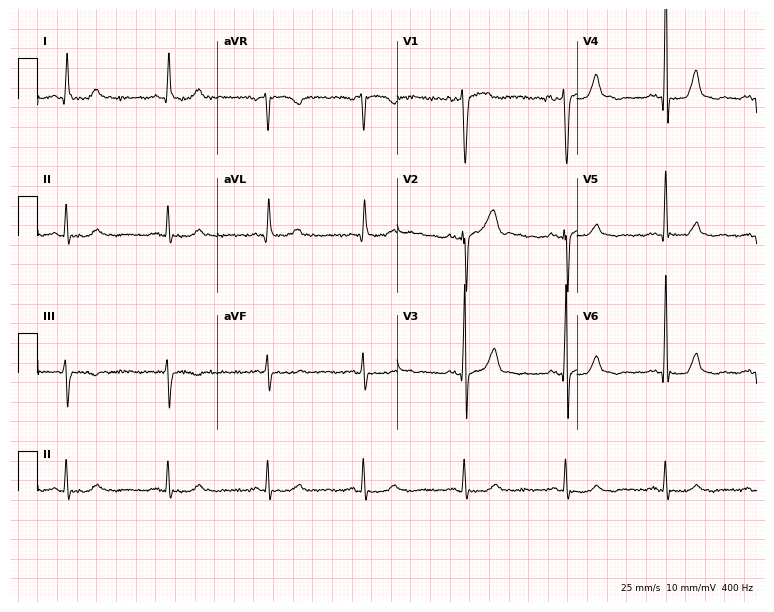
Standard 12-lead ECG recorded from a 58-year-old male. Read as a normal ECG.